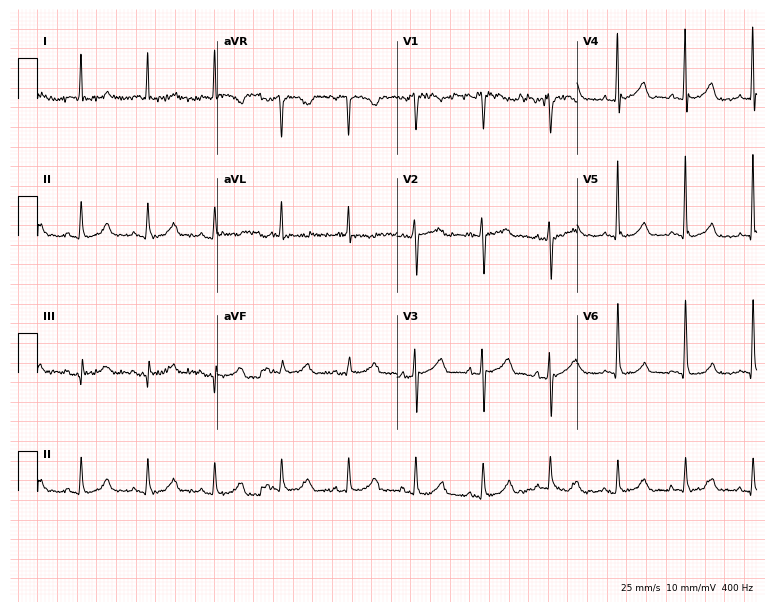
12-lead ECG from an 87-year-old female. Labelled as a normal ECG.